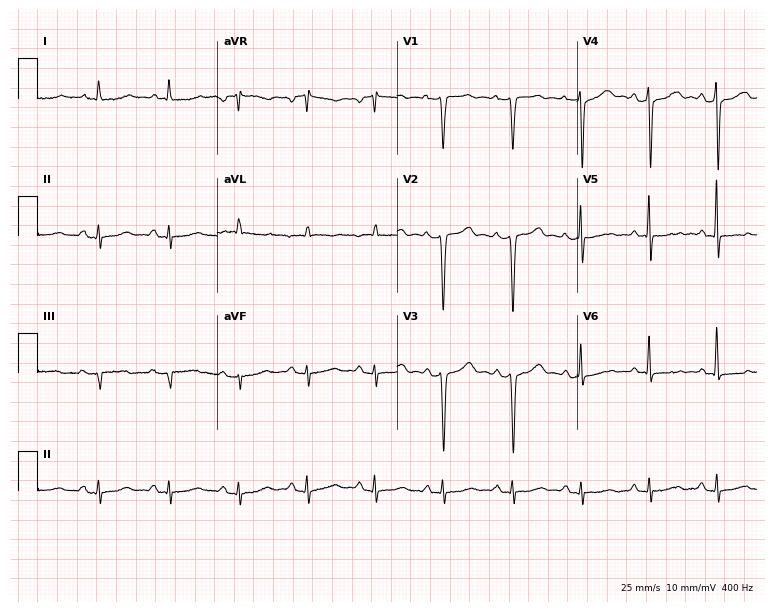
Resting 12-lead electrocardiogram (7.3-second recording at 400 Hz). Patient: a female, 74 years old. None of these six findings is recorded: first-degree AV block, right bundle branch block (RBBB), left bundle branch block (LBBB), sinus bradycardia, atrial fibrillation (AF), sinus tachycardia. Other findings, if any, are not listed.